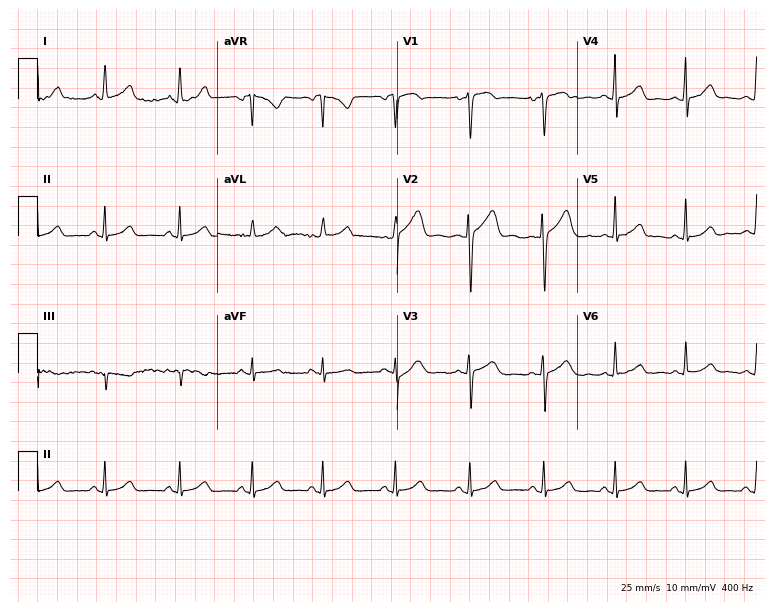
12-lead ECG from a woman, 49 years old (7.3-second recording at 400 Hz). Recorded interpretation: within normal limits.